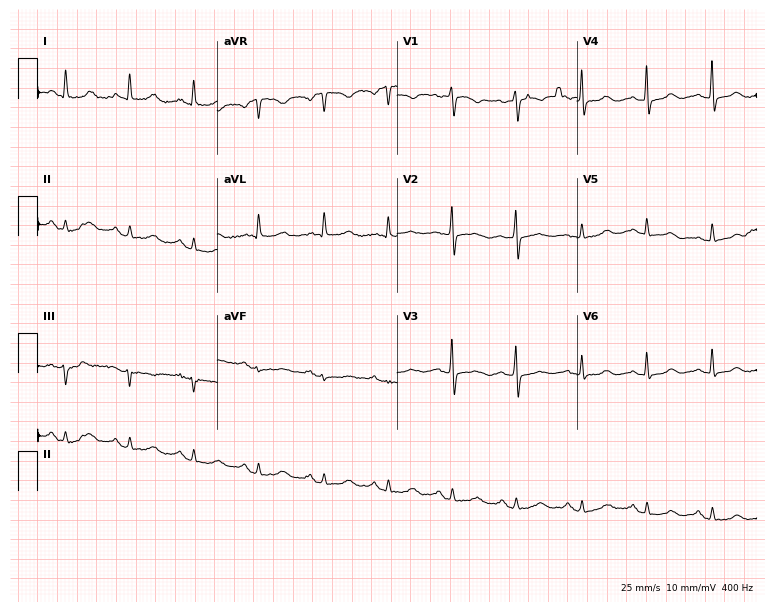
Standard 12-lead ECG recorded from a 68-year-old female. None of these six findings is recorded: first-degree AV block, right bundle branch block, left bundle branch block, sinus bradycardia, atrial fibrillation, sinus tachycardia.